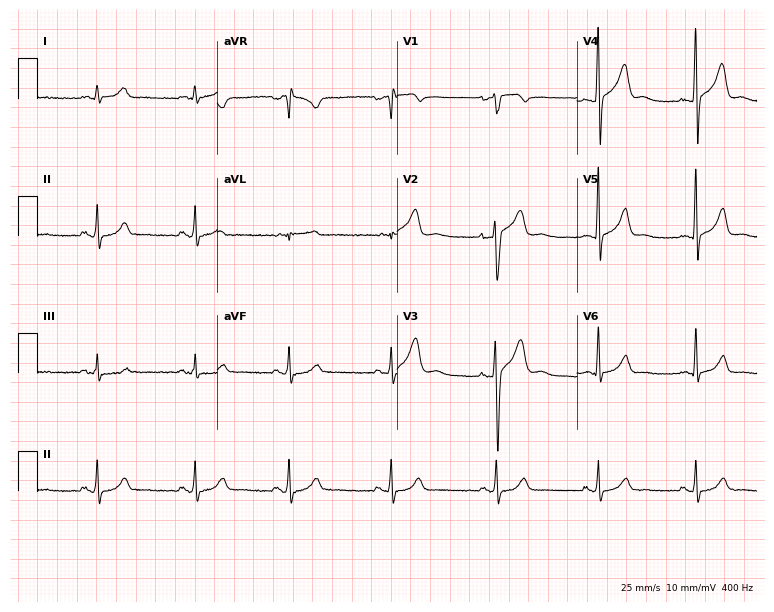
Resting 12-lead electrocardiogram (7.3-second recording at 400 Hz). Patient: a male, 34 years old. None of these six findings is recorded: first-degree AV block, right bundle branch block, left bundle branch block, sinus bradycardia, atrial fibrillation, sinus tachycardia. Only these six findings were labelled.